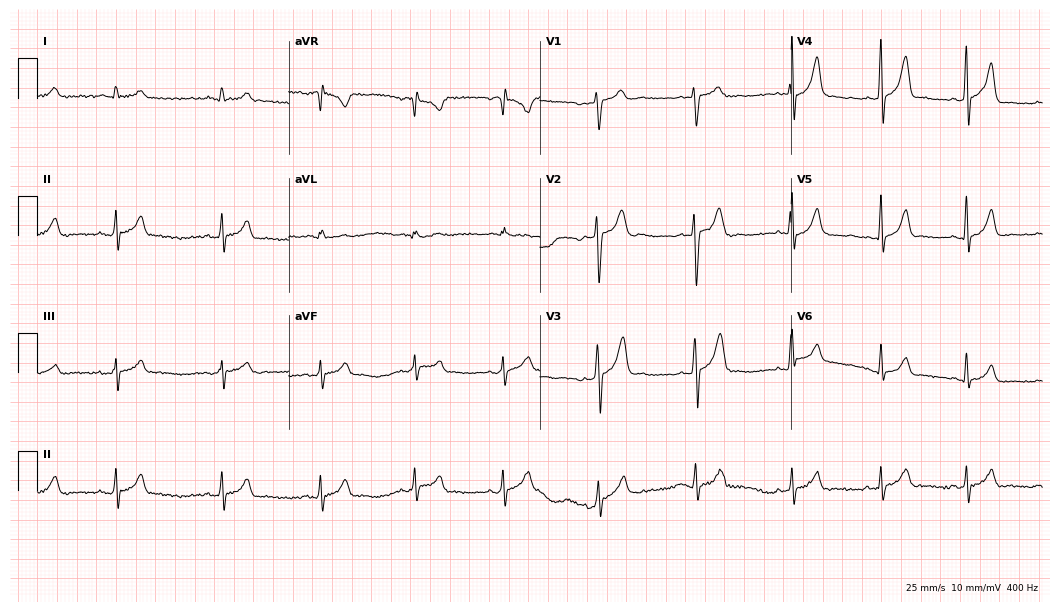
Resting 12-lead electrocardiogram (10.2-second recording at 400 Hz). Patient: a 20-year-old man. Read as a normal ECG.